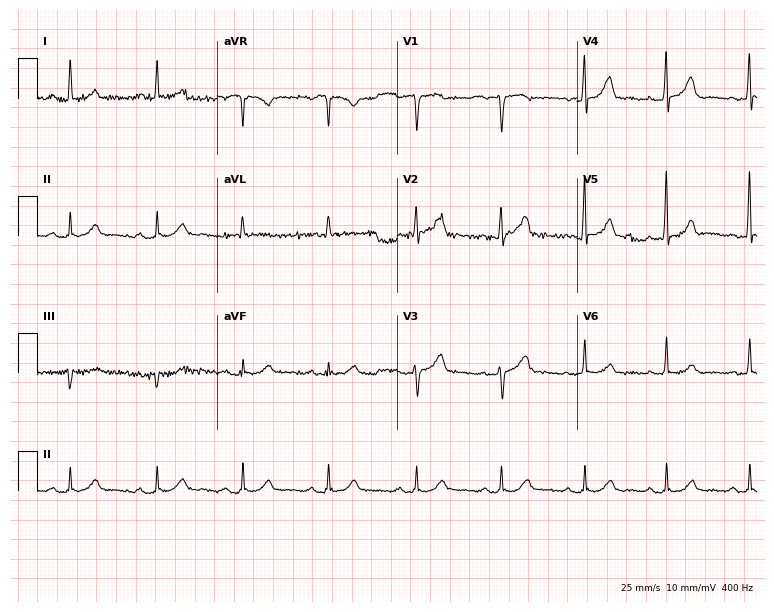
Standard 12-lead ECG recorded from a woman, 55 years old (7.3-second recording at 400 Hz). Read as a normal ECG.